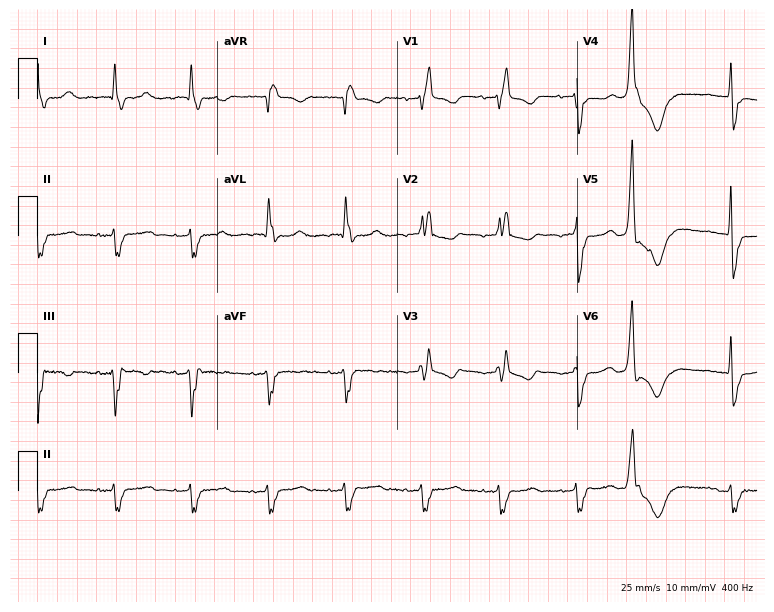
12-lead ECG from a woman, 73 years old (7.3-second recording at 400 Hz). Shows right bundle branch block.